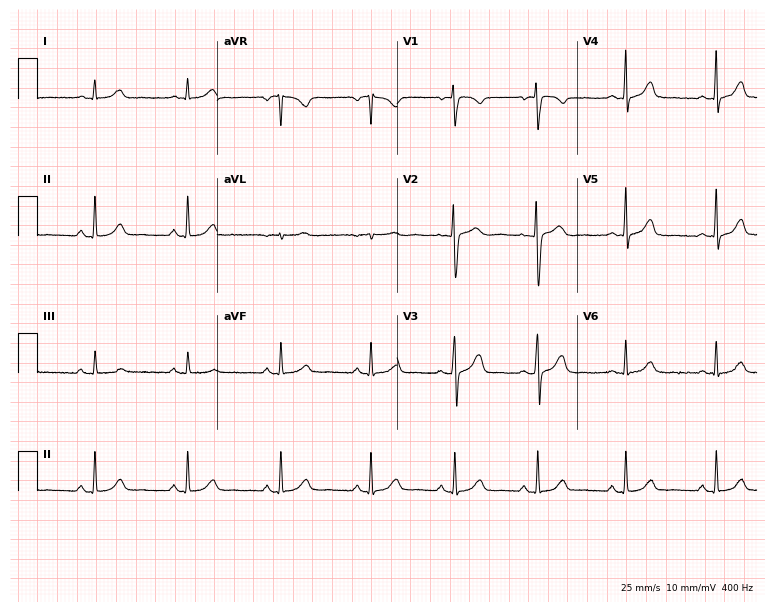
Electrocardiogram, a woman, 29 years old. Overall reading on record: normal ECG.